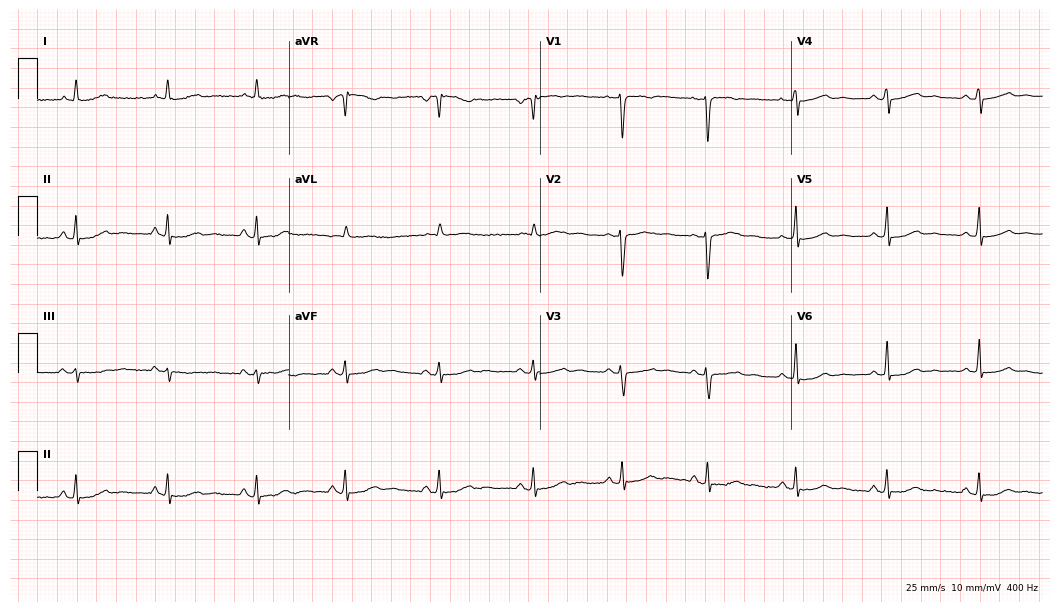
ECG (10.2-second recording at 400 Hz) — a woman, 43 years old. Screened for six findings — first-degree AV block, right bundle branch block (RBBB), left bundle branch block (LBBB), sinus bradycardia, atrial fibrillation (AF), sinus tachycardia — none is recorded. Findings outside these six are not listed.